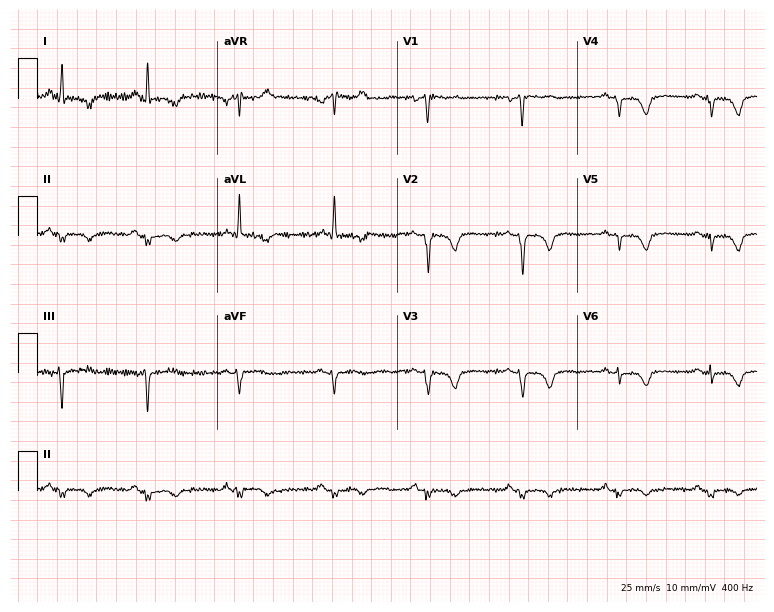
ECG — a female patient, 53 years old. Screened for six findings — first-degree AV block, right bundle branch block, left bundle branch block, sinus bradycardia, atrial fibrillation, sinus tachycardia — none is recorded. Other findings, if any, are not listed.